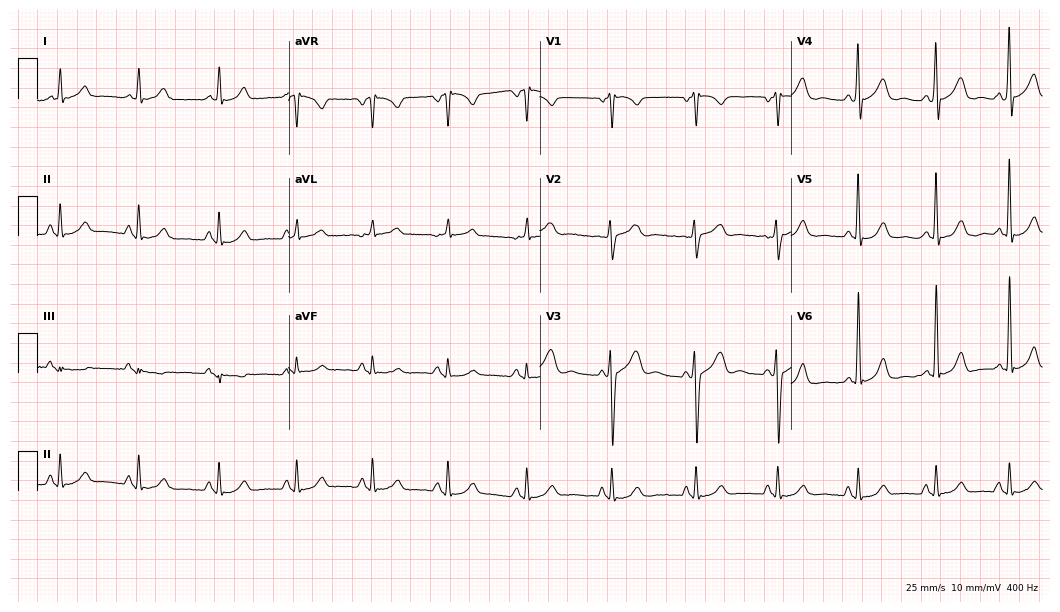
12-lead ECG from a 49-year-old male patient. No first-degree AV block, right bundle branch block, left bundle branch block, sinus bradycardia, atrial fibrillation or sinus tachycardia recorded for this tracing. Other findings, if any, are not listed.